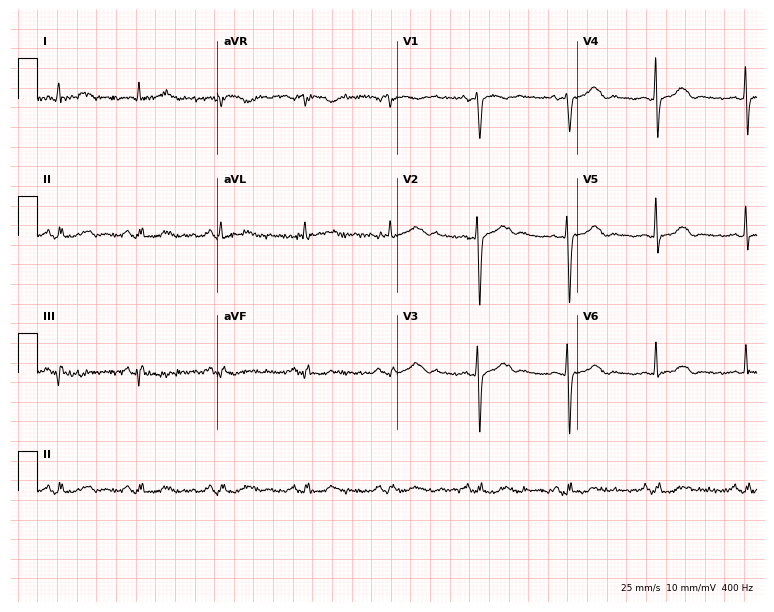
Electrocardiogram (7.3-second recording at 400 Hz), a 71-year-old male patient. Overall reading on record: normal ECG.